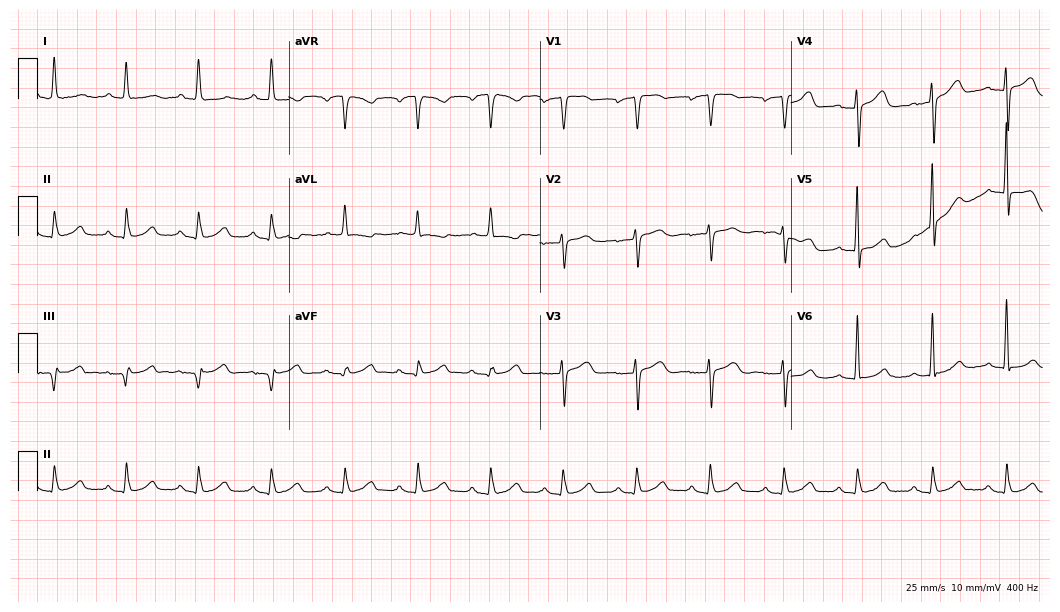
12-lead ECG from a woman, 84 years old (10.2-second recording at 400 Hz). Recorded interpretation: within normal limits.